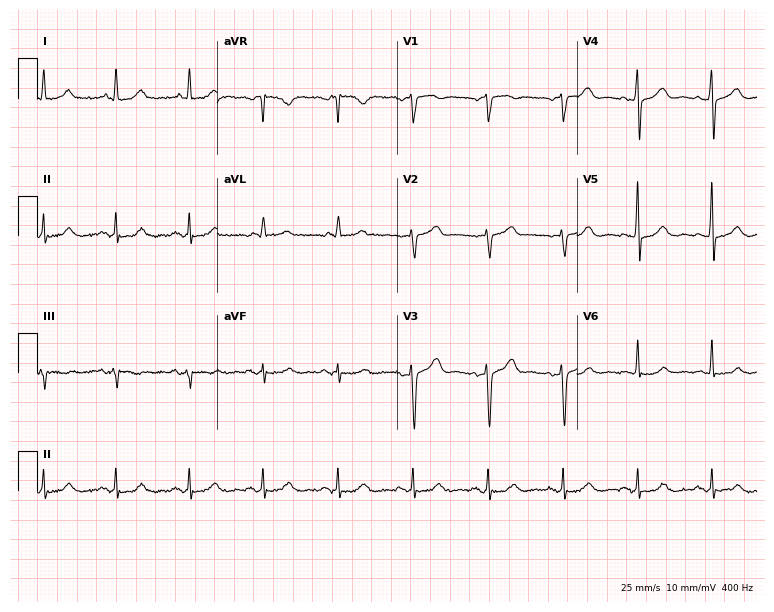
ECG (7.3-second recording at 400 Hz) — a male patient, 66 years old. Screened for six findings — first-degree AV block, right bundle branch block, left bundle branch block, sinus bradycardia, atrial fibrillation, sinus tachycardia — none is recorded.